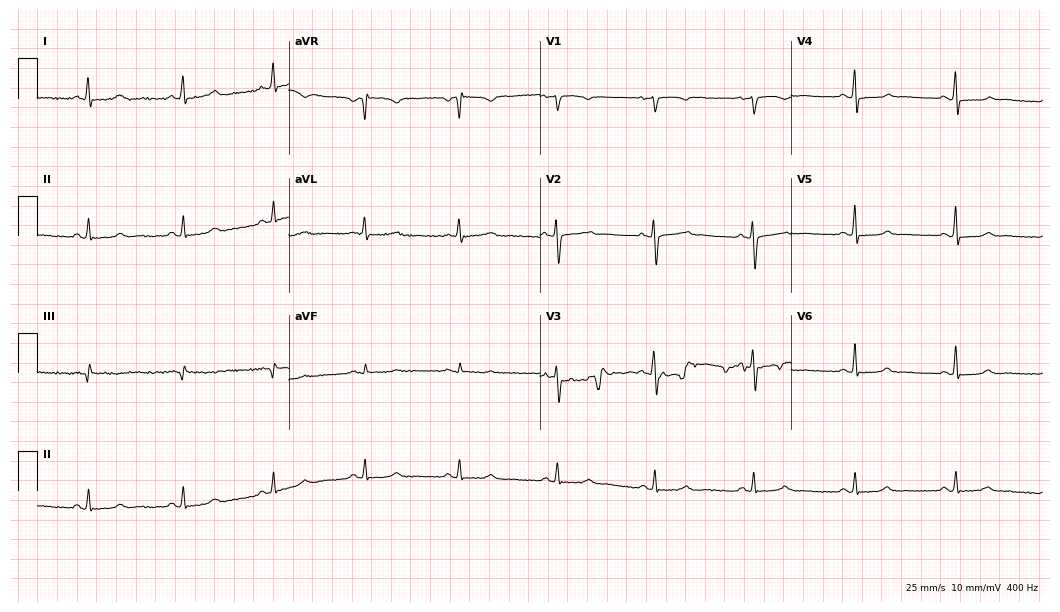
12-lead ECG from a 54-year-old female. Screened for six findings — first-degree AV block, right bundle branch block, left bundle branch block, sinus bradycardia, atrial fibrillation, sinus tachycardia — none is recorded. Findings outside these six are not listed.